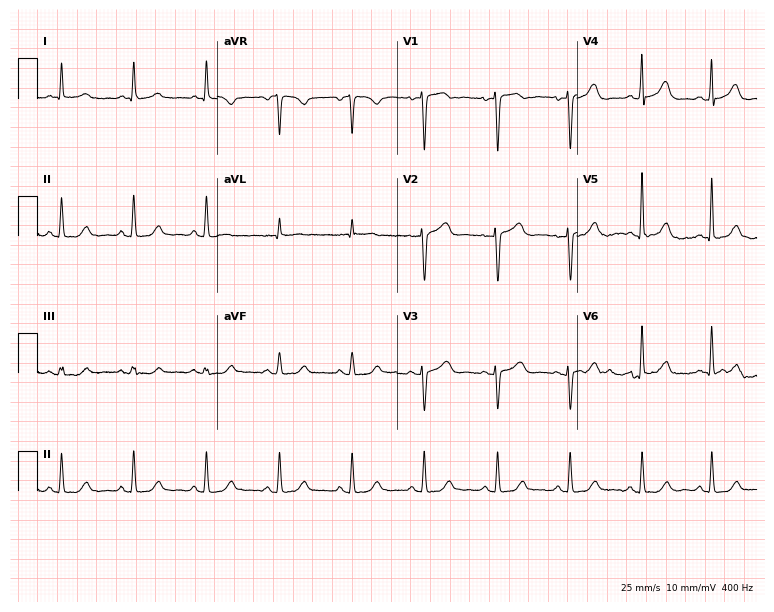
ECG (7.3-second recording at 400 Hz) — a female patient, 82 years old. Labelled as a normal ECG.